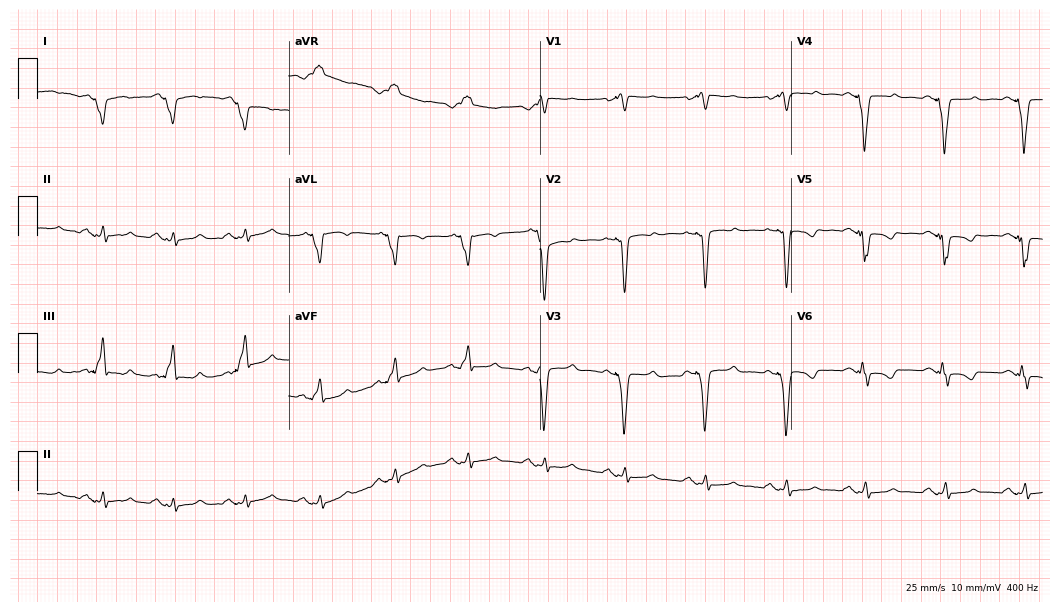
12-lead ECG (10.2-second recording at 400 Hz) from a 55-year-old female. Screened for six findings — first-degree AV block, right bundle branch block, left bundle branch block, sinus bradycardia, atrial fibrillation, sinus tachycardia — none is recorded. Only these six findings were labelled.